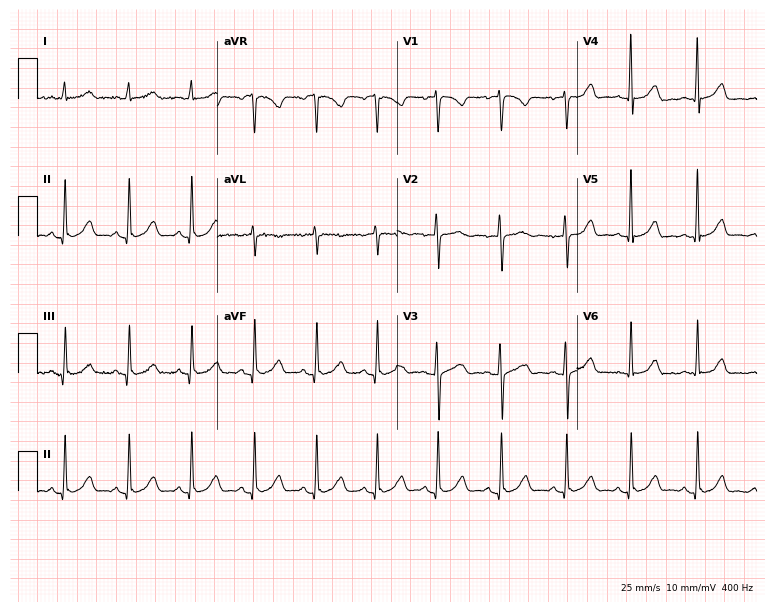
12-lead ECG from a female patient, 17 years old. Recorded interpretation: within normal limits.